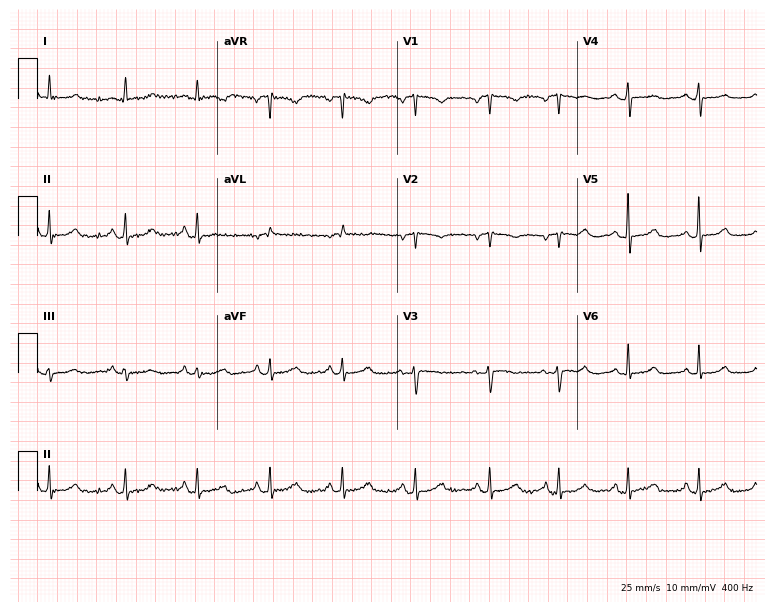
Electrocardiogram, a 69-year-old female patient. Of the six screened findings (first-degree AV block, right bundle branch block, left bundle branch block, sinus bradycardia, atrial fibrillation, sinus tachycardia), none is recorded. Only these six findings were labelled.